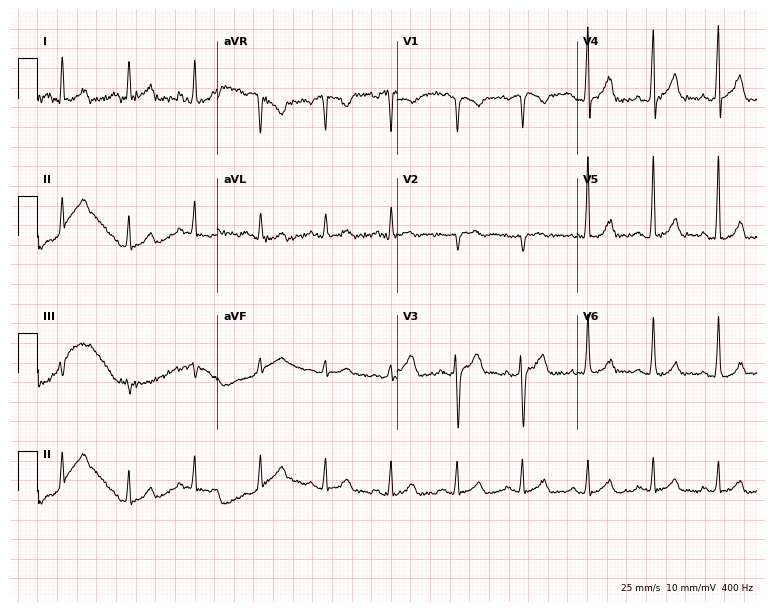
12-lead ECG from a 36-year-old male (7.3-second recording at 400 Hz). Recorded interpretation: within normal limits.